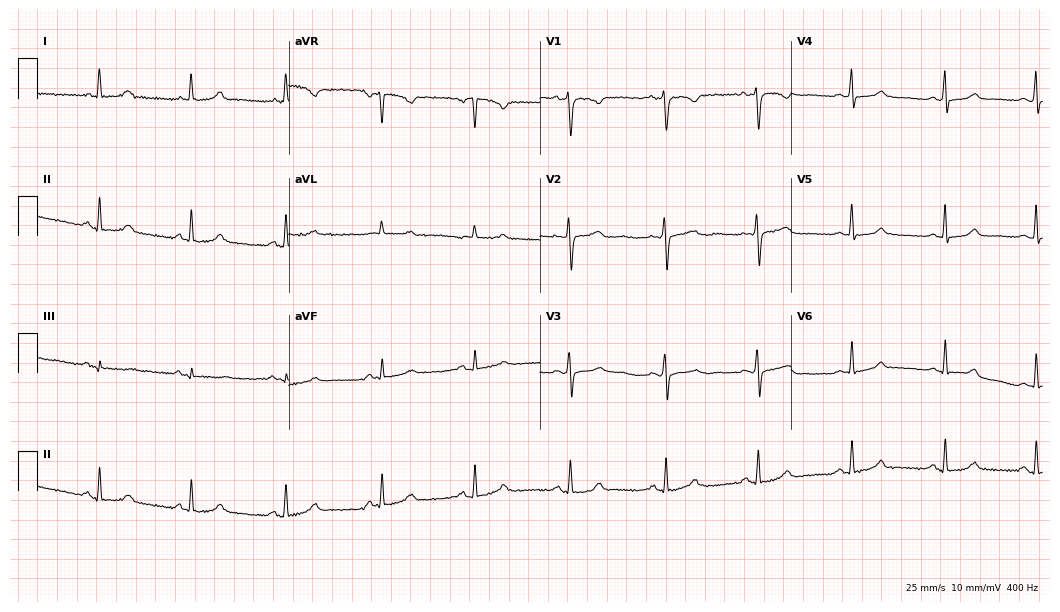
Standard 12-lead ECG recorded from a 53-year-old female patient. Read as a normal ECG.